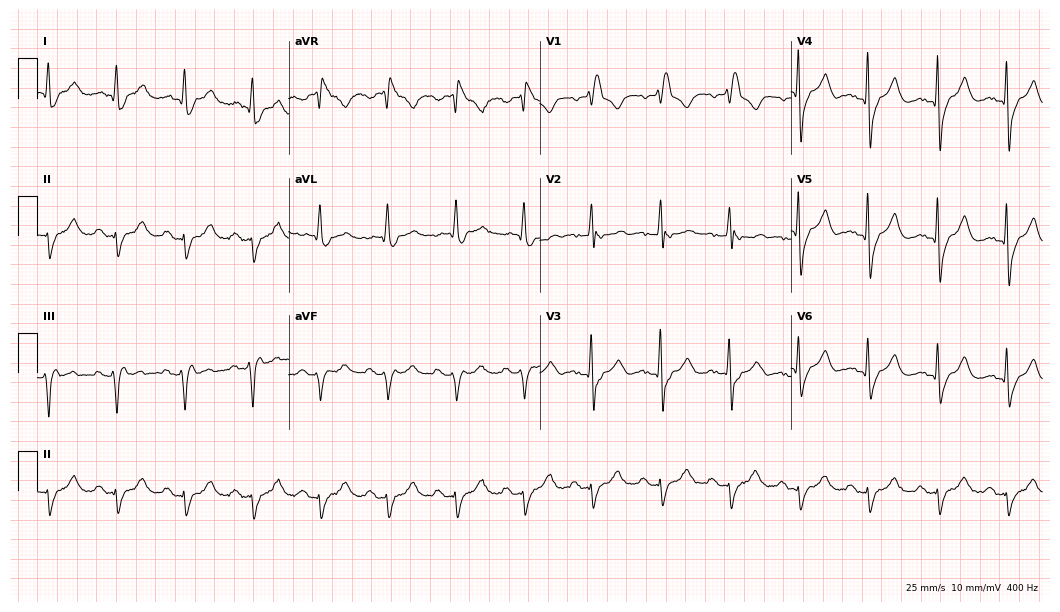
Standard 12-lead ECG recorded from a 70-year-old female patient (10.2-second recording at 400 Hz). None of these six findings is recorded: first-degree AV block, right bundle branch block (RBBB), left bundle branch block (LBBB), sinus bradycardia, atrial fibrillation (AF), sinus tachycardia. Other findings, if any, are not listed.